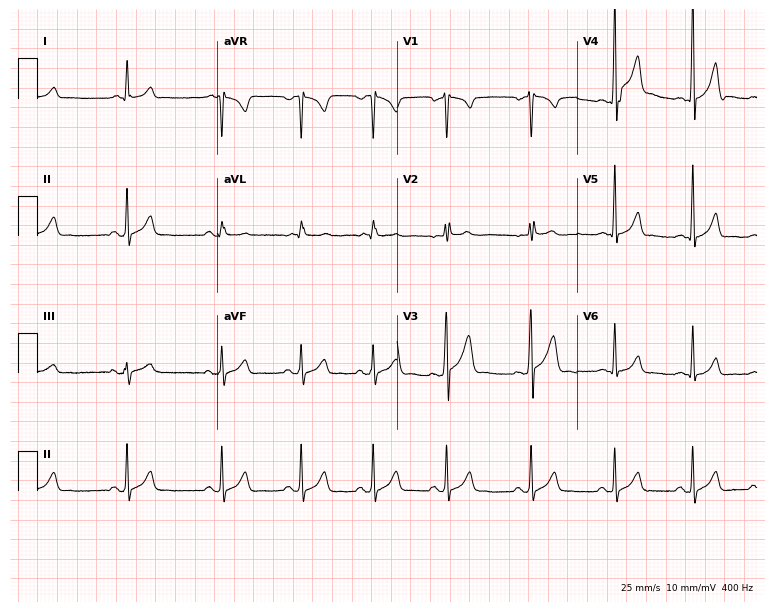
ECG — a male, 18 years old. Labelled as a normal ECG.